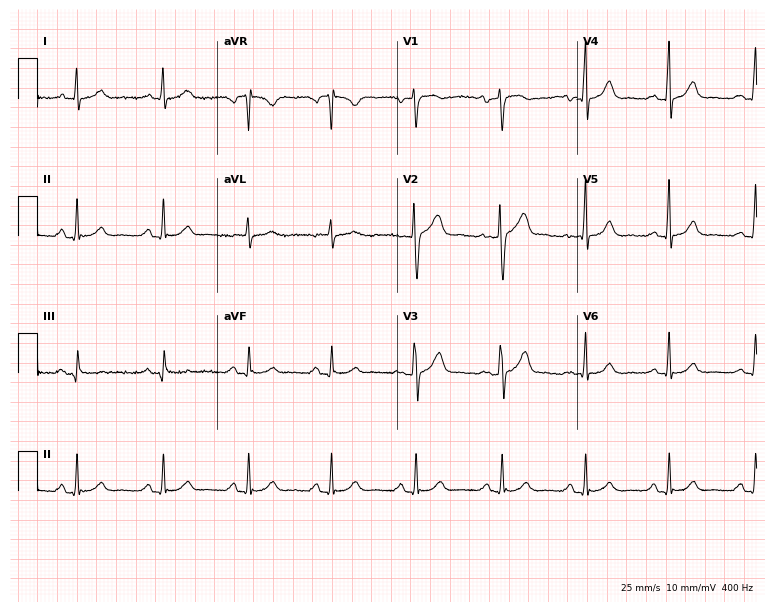
ECG — a woman, 47 years old. Screened for six findings — first-degree AV block, right bundle branch block, left bundle branch block, sinus bradycardia, atrial fibrillation, sinus tachycardia — none is recorded. Findings outside these six are not listed.